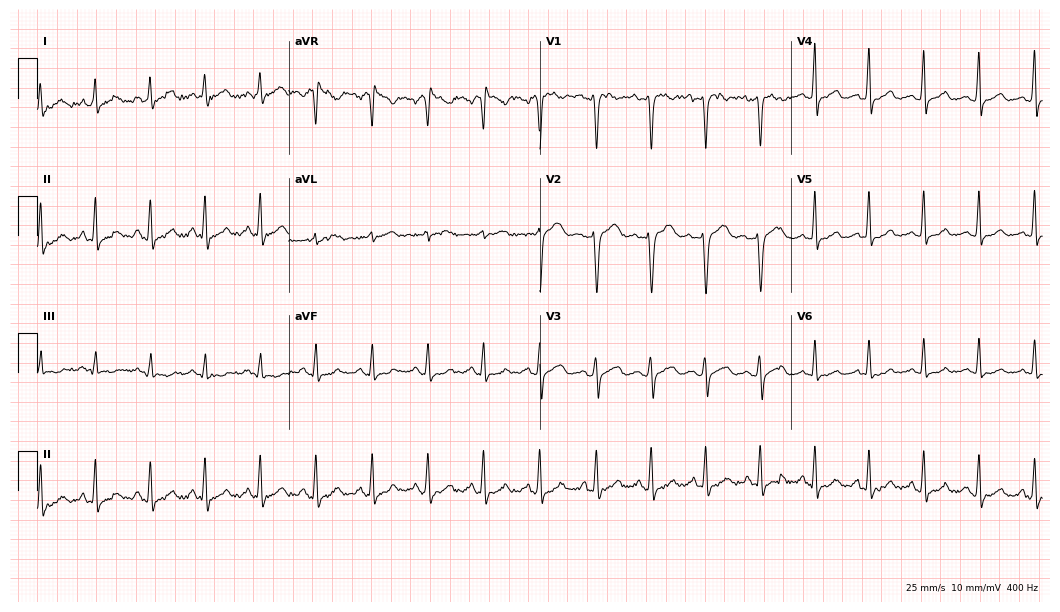
Resting 12-lead electrocardiogram (10.2-second recording at 400 Hz). Patient: a woman, 22 years old. The tracing shows sinus tachycardia (a sinus rate of 100 beats per minute or more).